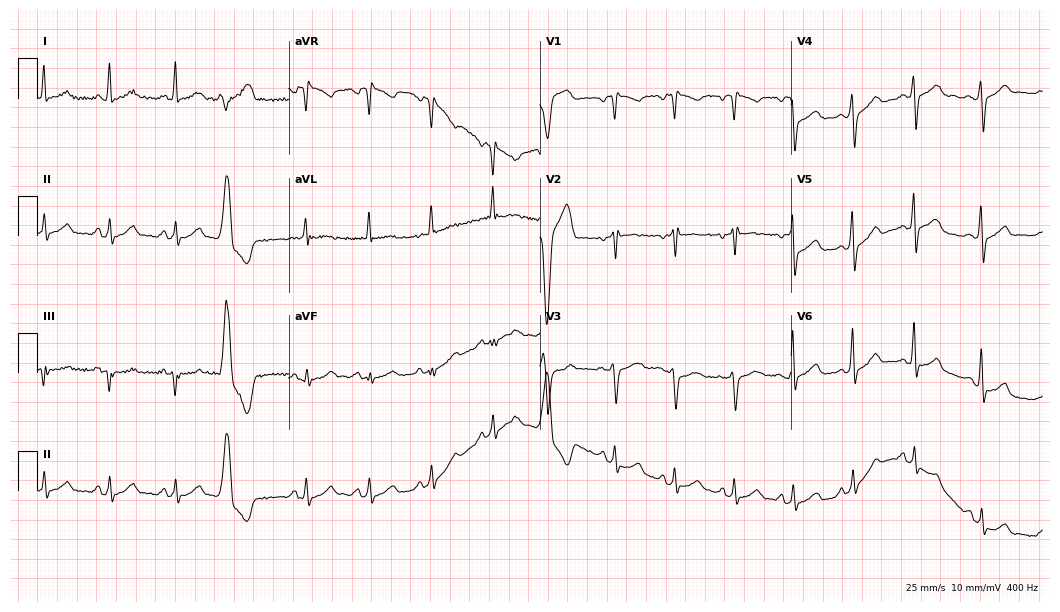
Electrocardiogram, a 43-year-old male. Of the six screened findings (first-degree AV block, right bundle branch block (RBBB), left bundle branch block (LBBB), sinus bradycardia, atrial fibrillation (AF), sinus tachycardia), none is recorded.